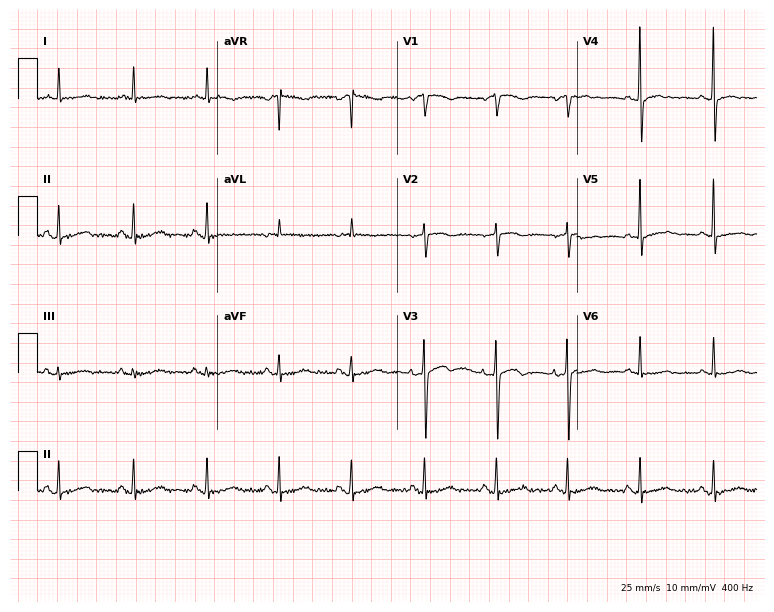
Electrocardiogram, an 83-year-old female. Of the six screened findings (first-degree AV block, right bundle branch block, left bundle branch block, sinus bradycardia, atrial fibrillation, sinus tachycardia), none is recorded.